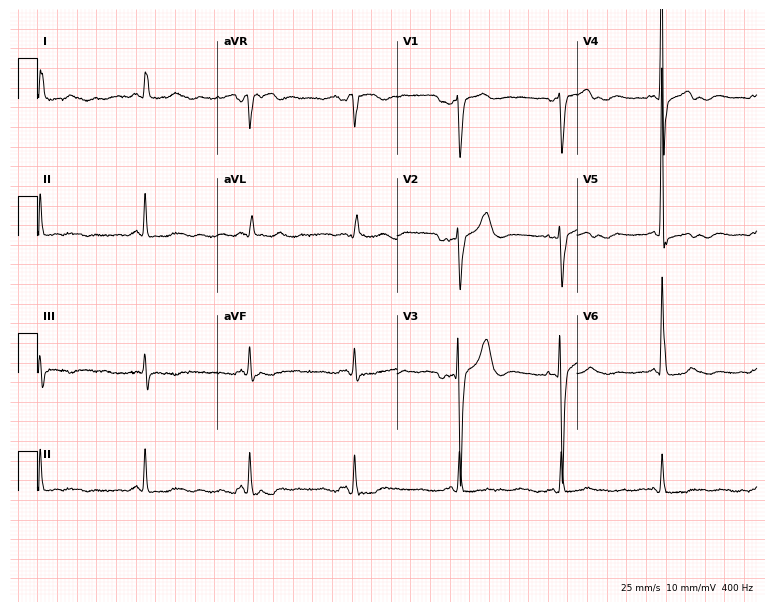
Electrocardiogram (7.3-second recording at 400 Hz), a 76-year-old male patient. Of the six screened findings (first-degree AV block, right bundle branch block (RBBB), left bundle branch block (LBBB), sinus bradycardia, atrial fibrillation (AF), sinus tachycardia), none is recorded.